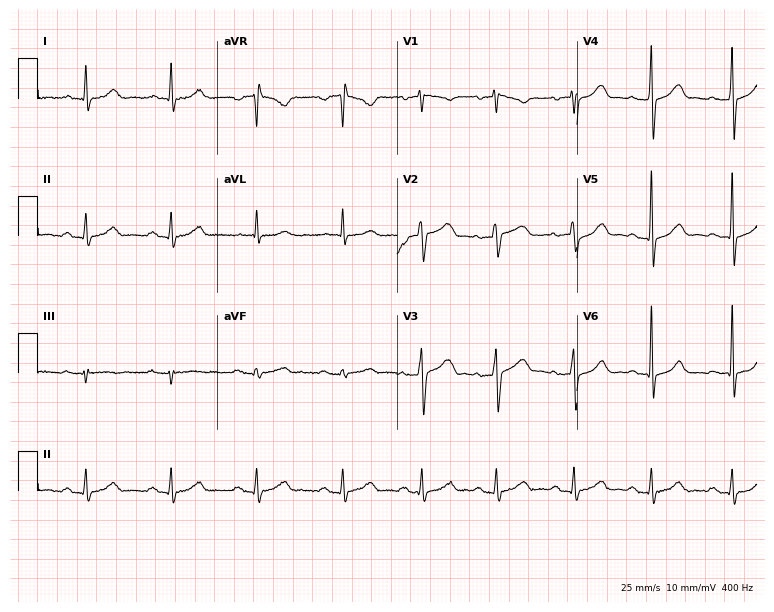
Resting 12-lead electrocardiogram (7.3-second recording at 400 Hz). Patient: a 47-year-old male. None of these six findings is recorded: first-degree AV block, right bundle branch block, left bundle branch block, sinus bradycardia, atrial fibrillation, sinus tachycardia.